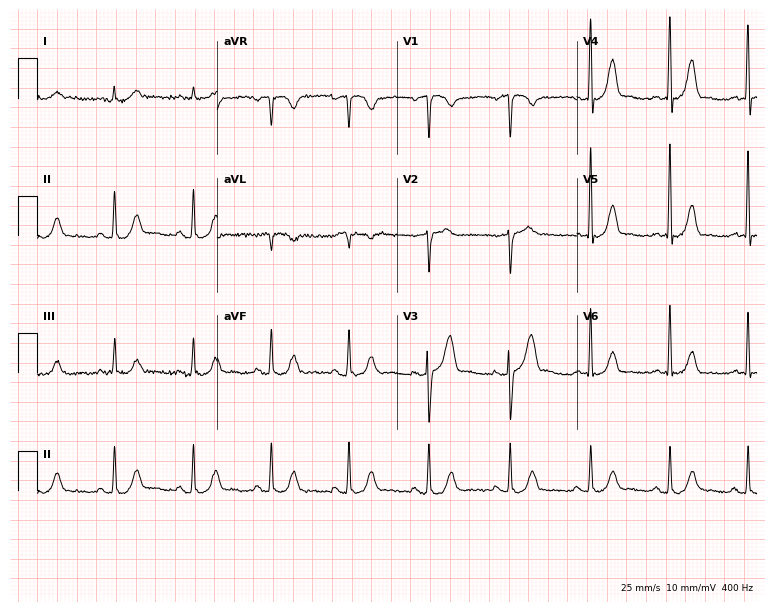
ECG (7.3-second recording at 400 Hz) — a male, 61 years old. Screened for six findings — first-degree AV block, right bundle branch block, left bundle branch block, sinus bradycardia, atrial fibrillation, sinus tachycardia — none is recorded. Other findings, if any, are not listed.